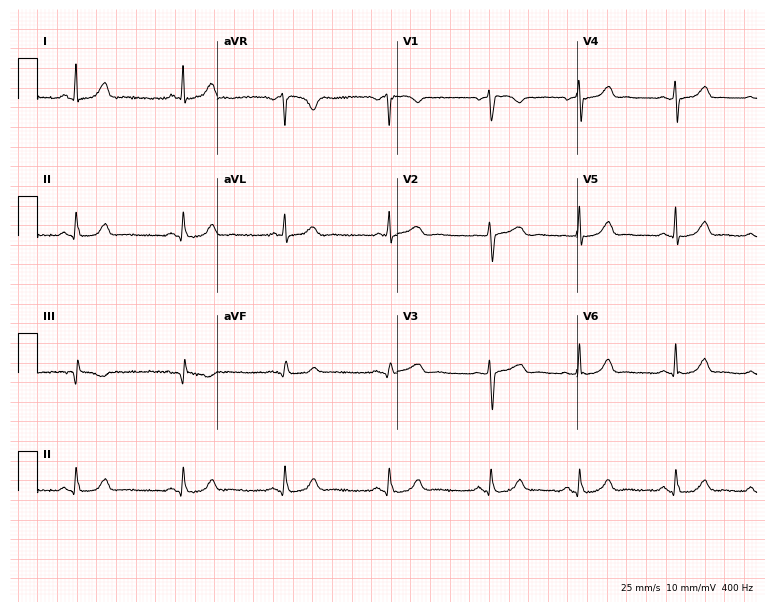
12-lead ECG from a female, 41 years old. No first-degree AV block, right bundle branch block (RBBB), left bundle branch block (LBBB), sinus bradycardia, atrial fibrillation (AF) or sinus tachycardia recorded for this tracing.